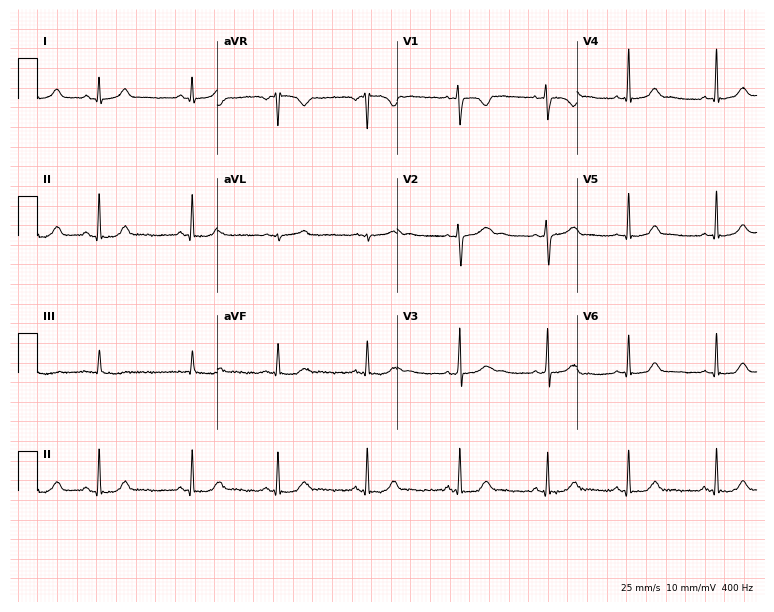
Electrocardiogram, a 20-year-old female patient. Overall reading on record: normal ECG.